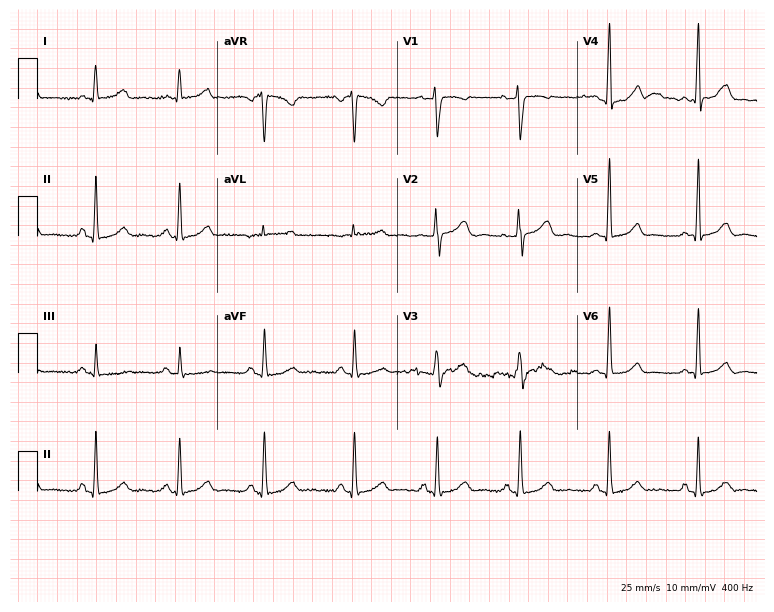
12-lead ECG (7.3-second recording at 400 Hz) from a 44-year-old woman. Labelled as a normal ECG.